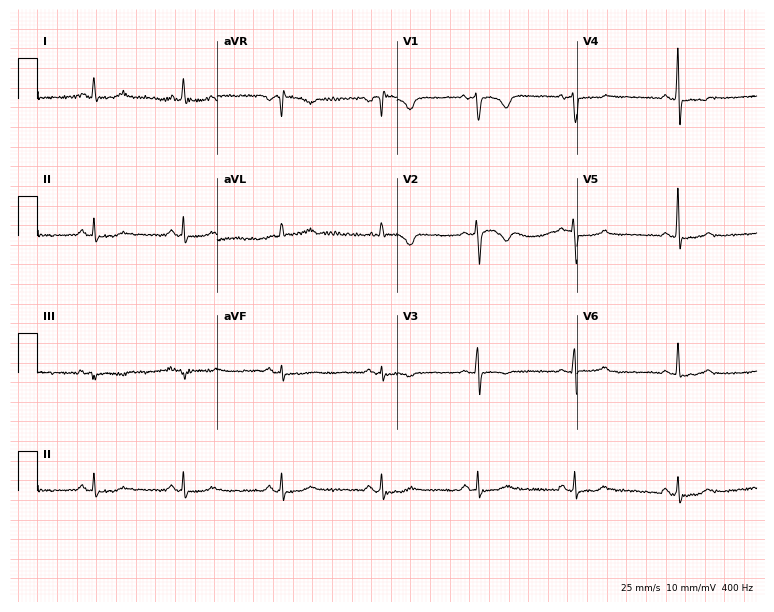
12-lead ECG from a 47-year-old woman. No first-degree AV block, right bundle branch block (RBBB), left bundle branch block (LBBB), sinus bradycardia, atrial fibrillation (AF) or sinus tachycardia recorded for this tracing.